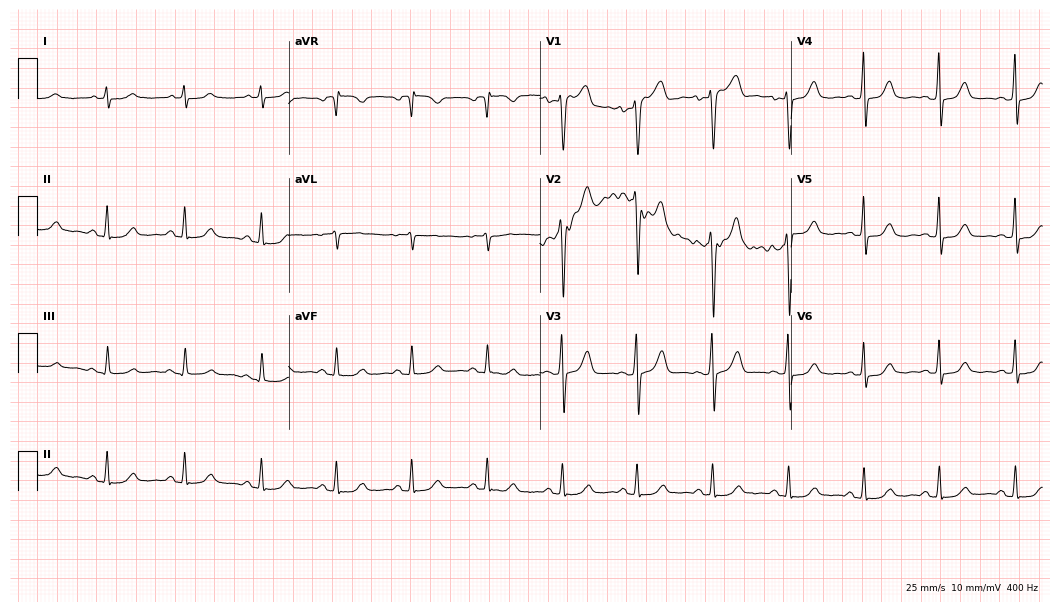
12-lead ECG from a 59-year-old female. Recorded interpretation: within normal limits.